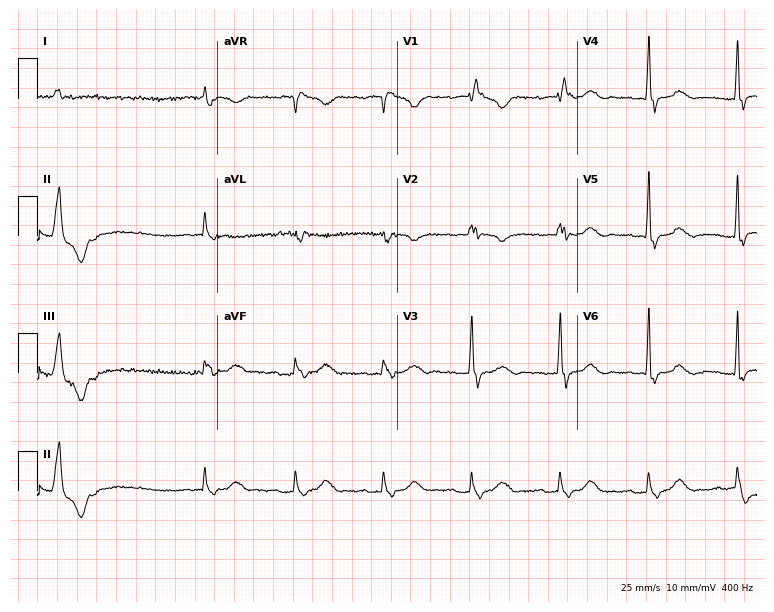
12-lead ECG from a male, 81 years old (7.3-second recording at 400 Hz). Shows right bundle branch block (RBBB), atrial fibrillation (AF).